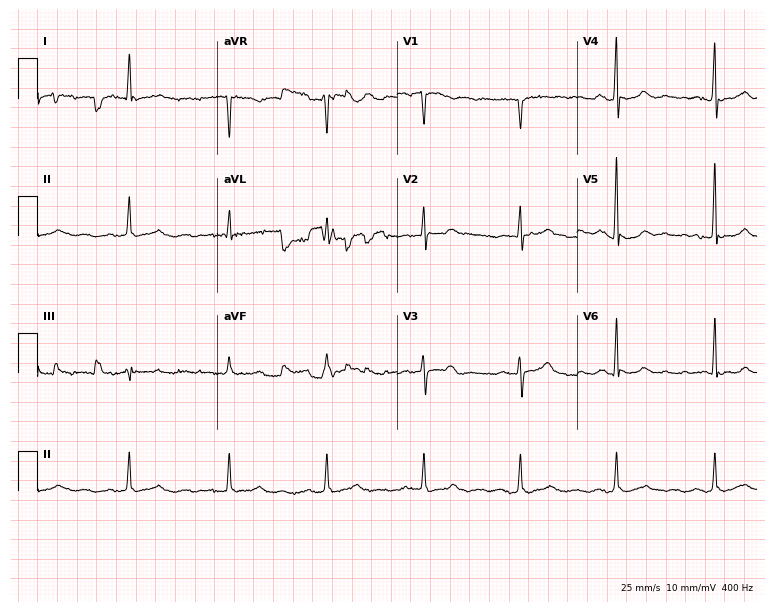
Standard 12-lead ECG recorded from a 73-year-old male patient (7.3-second recording at 400 Hz). None of these six findings is recorded: first-degree AV block, right bundle branch block (RBBB), left bundle branch block (LBBB), sinus bradycardia, atrial fibrillation (AF), sinus tachycardia. Only these six findings were labelled.